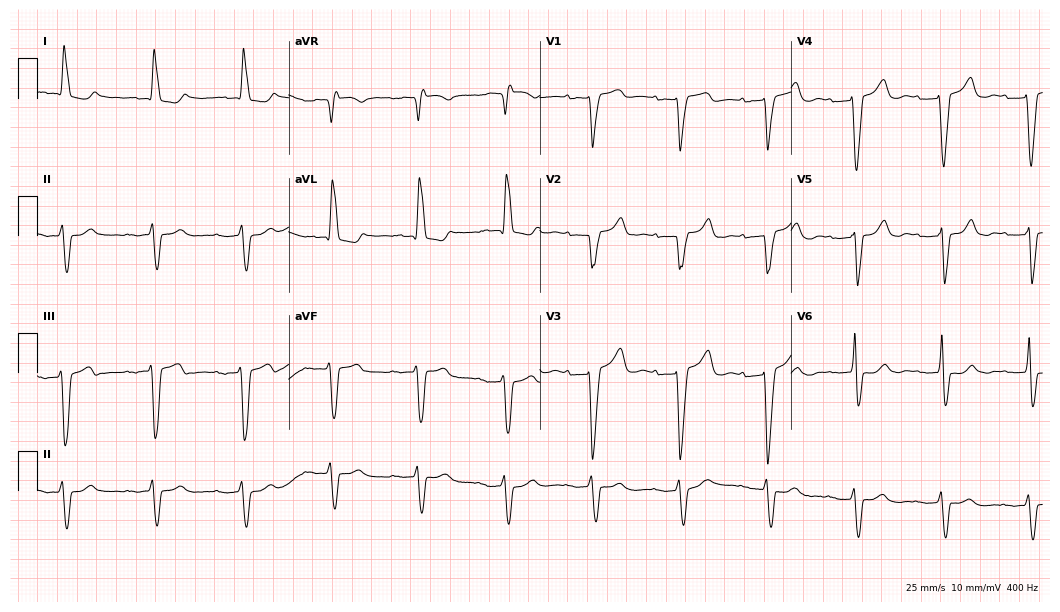
ECG (10.2-second recording at 400 Hz) — an 82-year-old female patient. Findings include first-degree AV block, left bundle branch block.